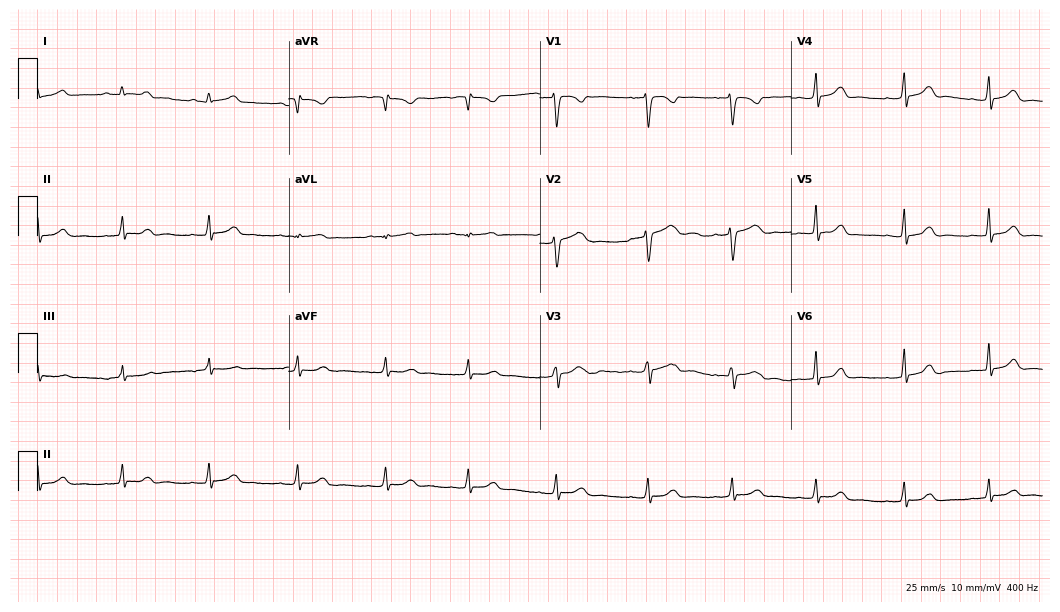
12-lead ECG from a woman, 26 years old. No first-degree AV block, right bundle branch block, left bundle branch block, sinus bradycardia, atrial fibrillation or sinus tachycardia recorded for this tracing. Findings outside these six are not listed.